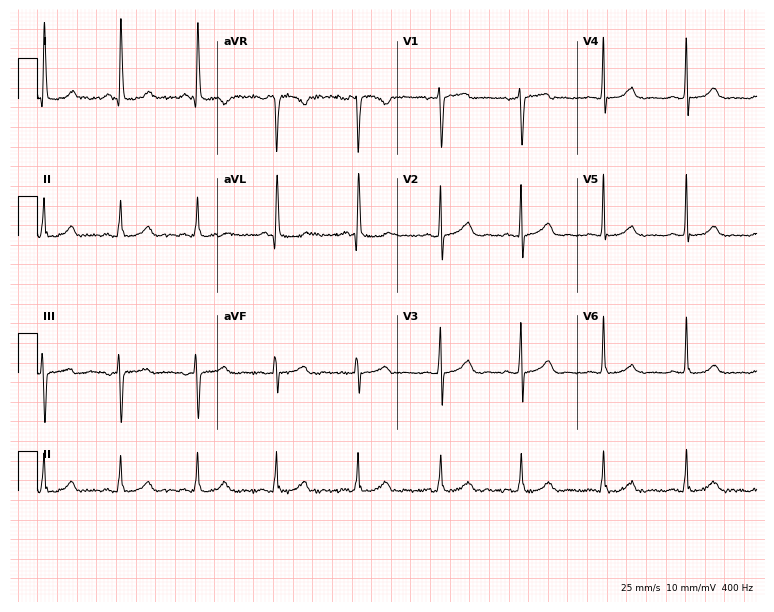
Electrocardiogram, a woman, 54 years old. Overall reading on record: normal ECG.